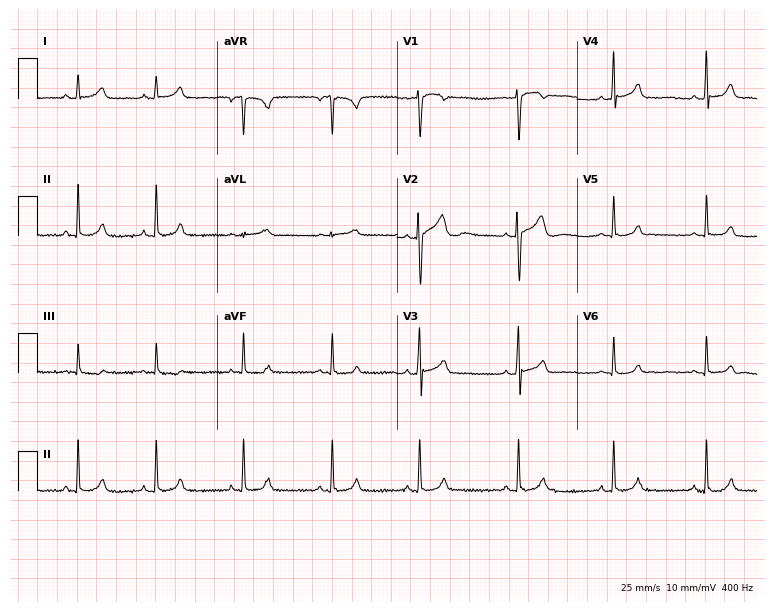
ECG — a female patient, 17 years old. Screened for six findings — first-degree AV block, right bundle branch block, left bundle branch block, sinus bradycardia, atrial fibrillation, sinus tachycardia — none is recorded. Other findings, if any, are not listed.